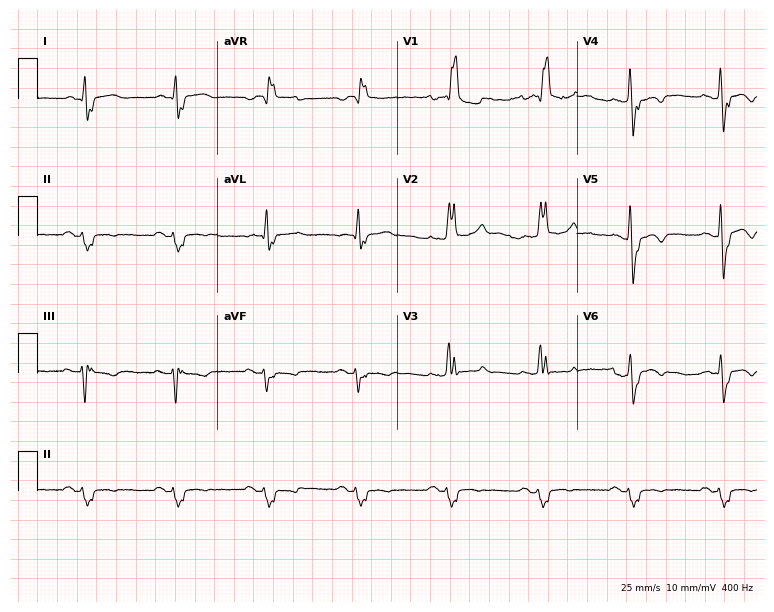
Standard 12-lead ECG recorded from a 77-year-old man. The tracing shows right bundle branch block.